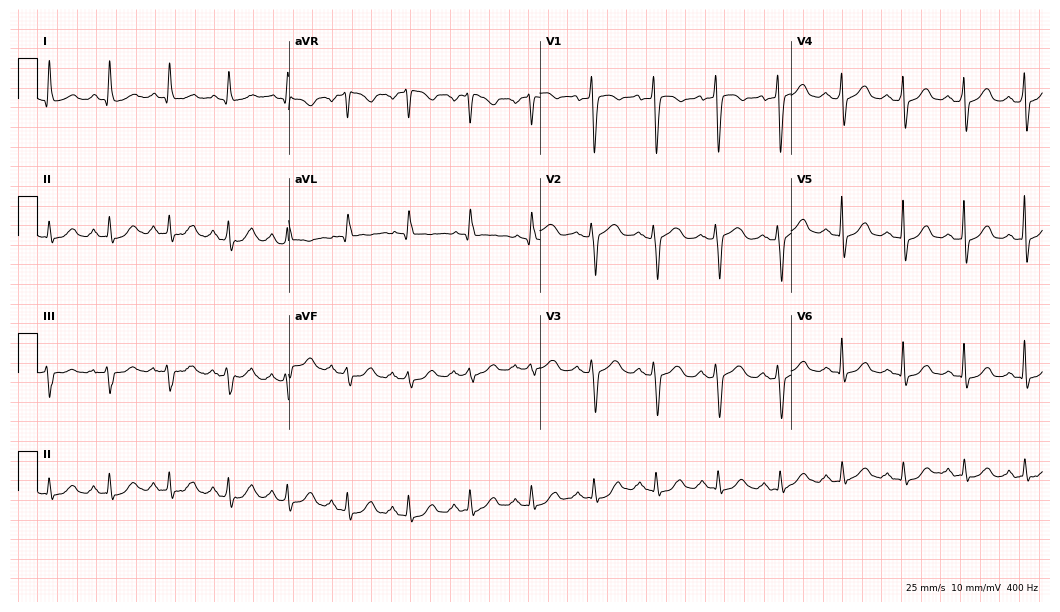
ECG — a 68-year-old female. Labelled as a normal ECG.